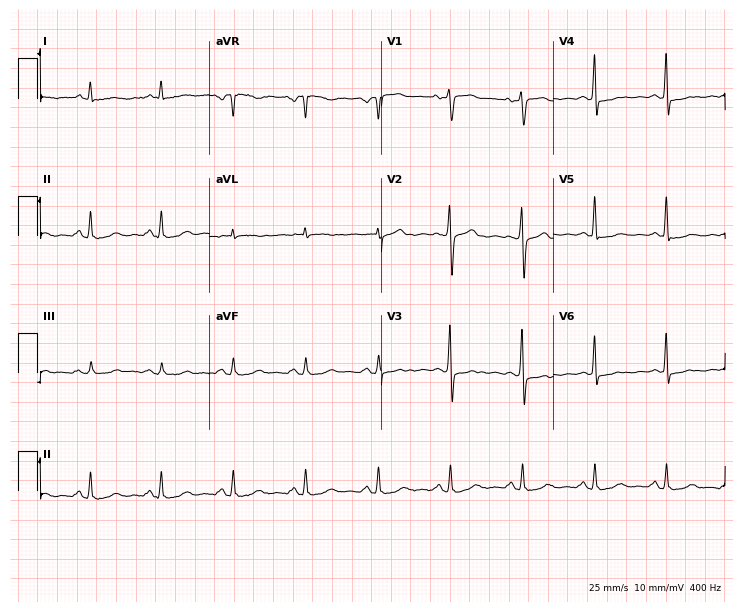
Electrocardiogram, a 61-year-old woman. Of the six screened findings (first-degree AV block, right bundle branch block, left bundle branch block, sinus bradycardia, atrial fibrillation, sinus tachycardia), none is recorded. Only these six findings were labelled.